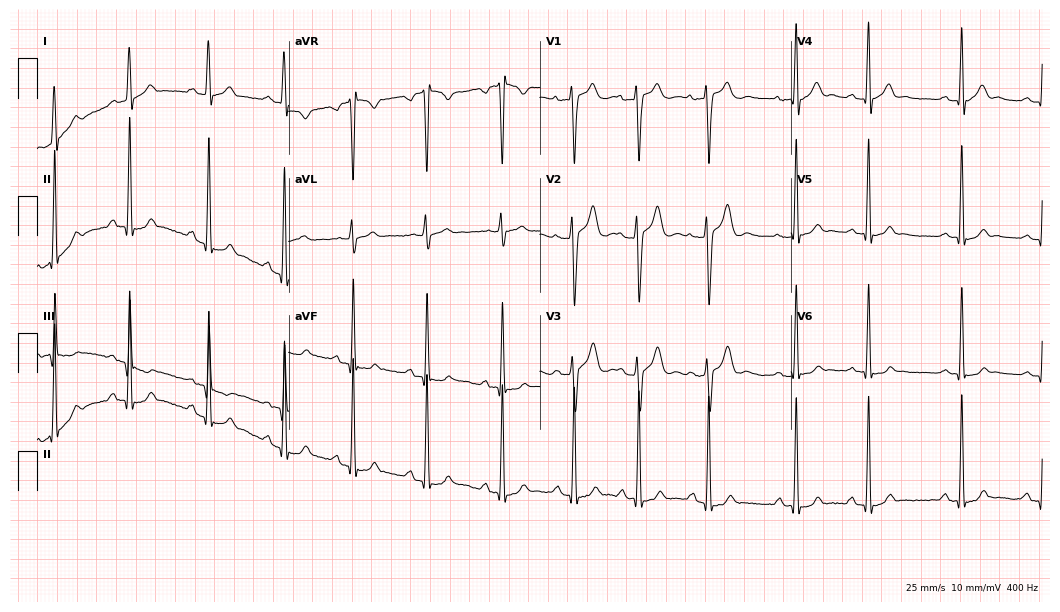
Resting 12-lead electrocardiogram. Patient: a male, 18 years old. Read as a normal ECG.